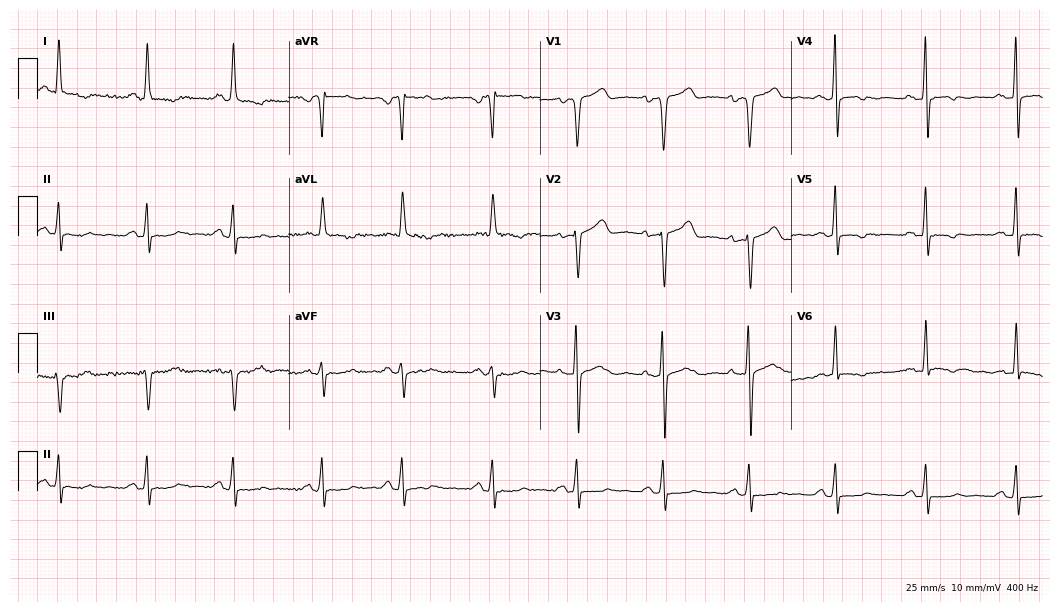
Resting 12-lead electrocardiogram (10.2-second recording at 400 Hz). Patient: a female, 60 years old. None of these six findings is recorded: first-degree AV block, right bundle branch block (RBBB), left bundle branch block (LBBB), sinus bradycardia, atrial fibrillation (AF), sinus tachycardia. Other findings, if any, are not listed.